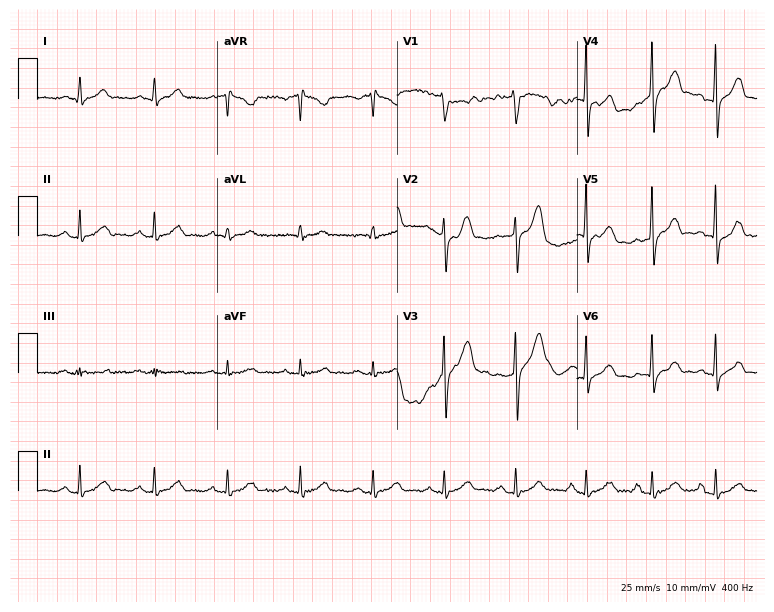
Resting 12-lead electrocardiogram. Patient: a 47-year-old male. None of these six findings is recorded: first-degree AV block, right bundle branch block, left bundle branch block, sinus bradycardia, atrial fibrillation, sinus tachycardia. Only these six findings were labelled.